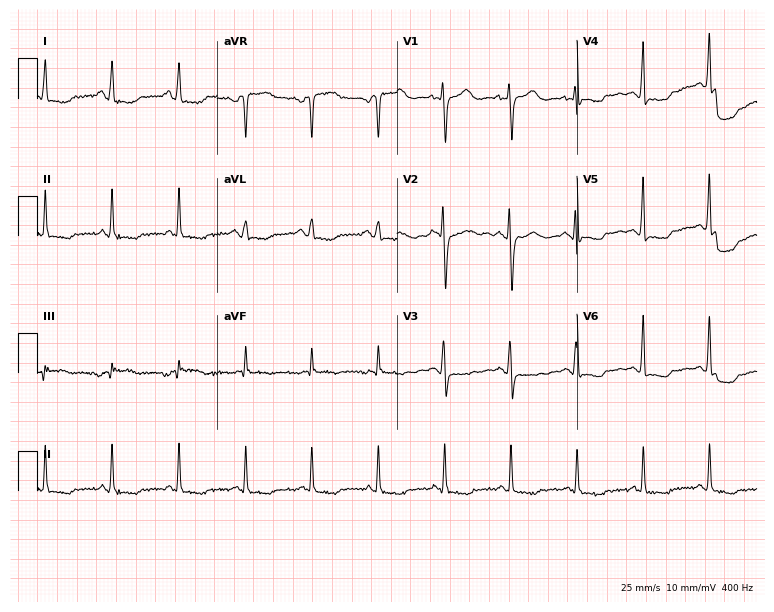
Electrocardiogram, a 66-year-old woman. Of the six screened findings (first-degree AV block, right bundle branch block, left bundle branch block, sinus bradycardia, atrial fibrillation, sinus tachycardia), none is recorded.